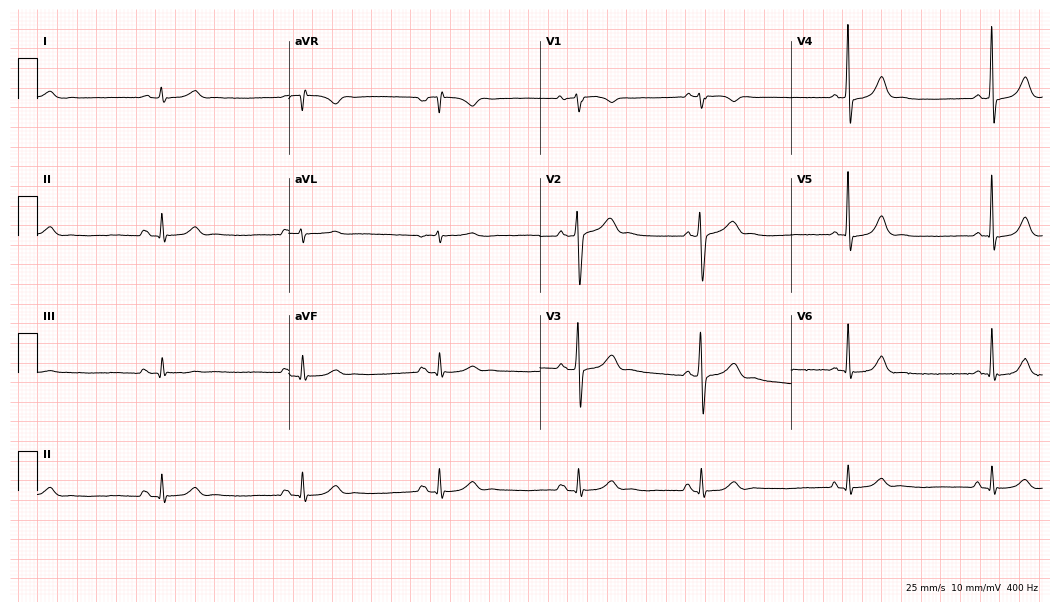
Electrocardiogram, a 59-year-old man. Of the six screened findings (first-degree AV block, right bundle branch block (RBBB), left bundle branch block (LBBB), sinus bradycardia, atrial fibrillation (AF), sinus tachycardia), none is recorded.